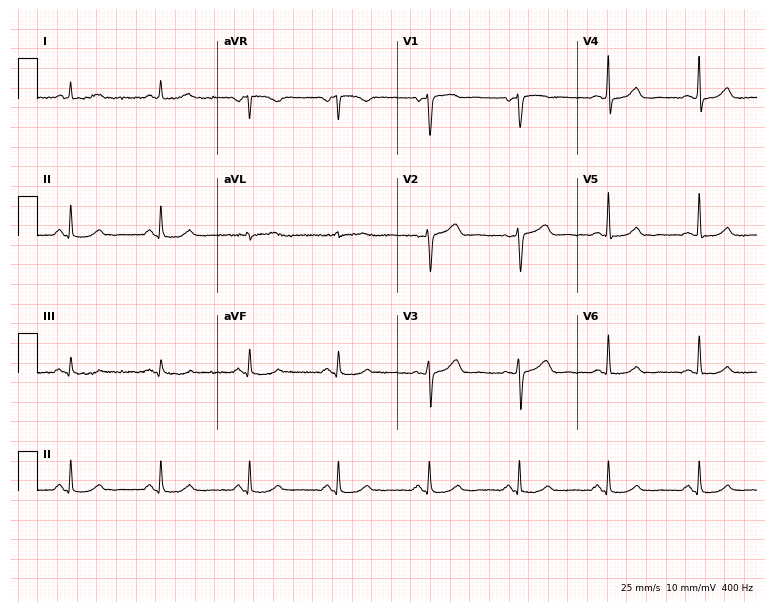
12-lead ECG from a 50-year-old female. Screened for six findings — first-degree AV block, right bundle branch block, left bundle branch block, sinus bradycardia, atrial fibrillation, sinus tachycardia — none is recorded. Only these six findings were labelled.